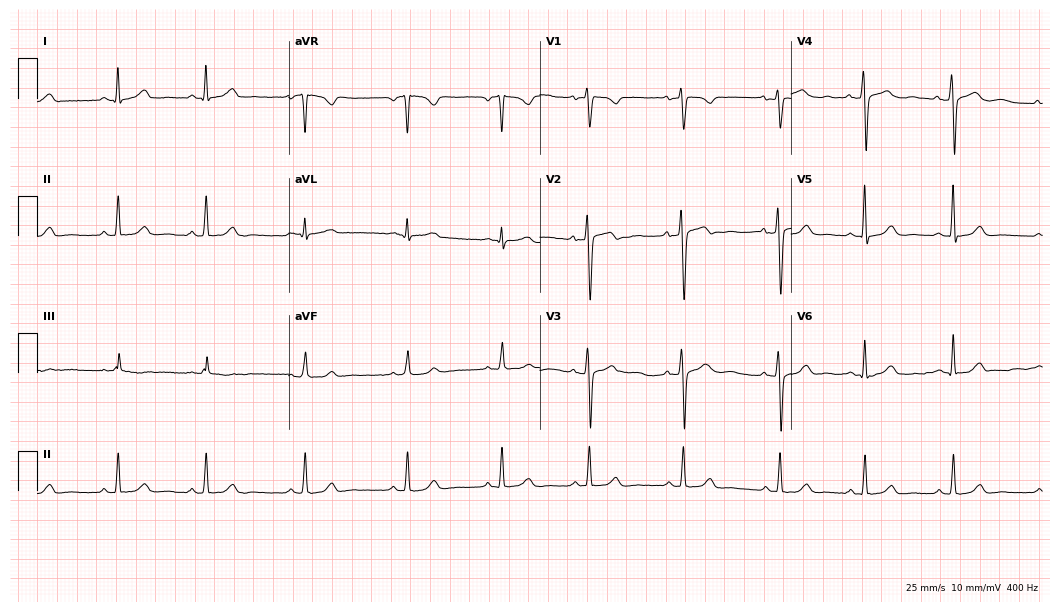
12-lead ECG from a female, 29 years old. Labelled as a normal ECG.